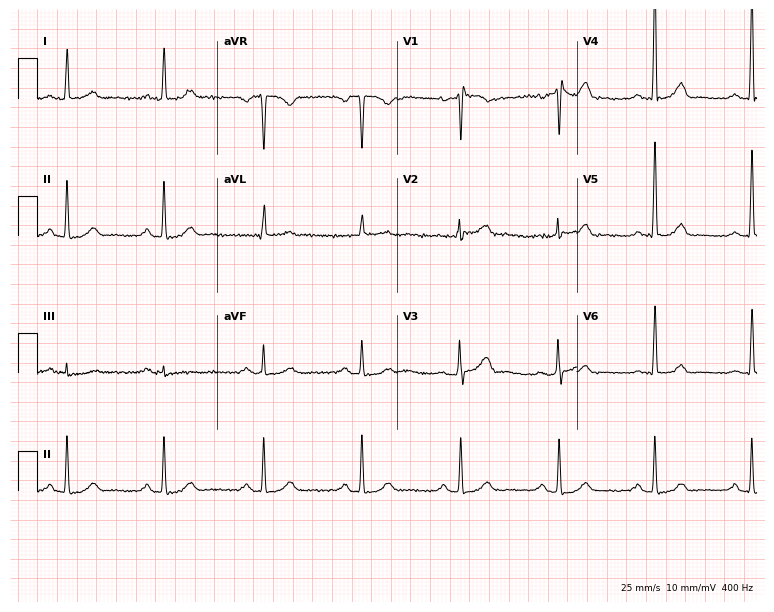
12-lead ECG from a male, 58 years old (7.3-second recording at 400 Hz). Recorded interpretation: within normal limits.